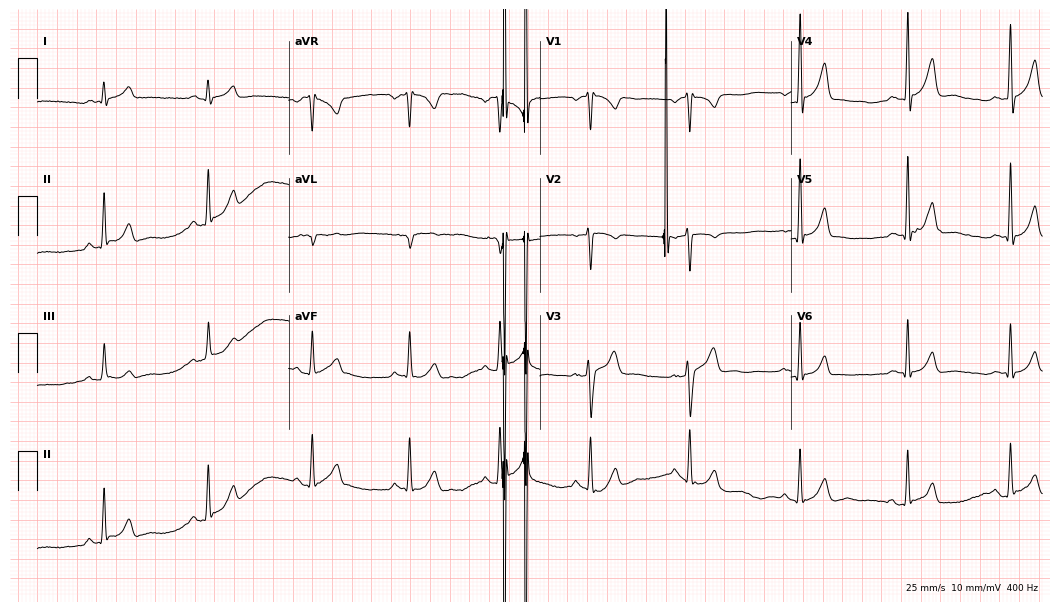
12-lead ECG from a 26-year-old male. Screened for six findings — first-degree AV block, right bundle branch block, left bundle branch block, sinus bradycardia, atrial fibrillation, sinus tachycardia — none is recorded.